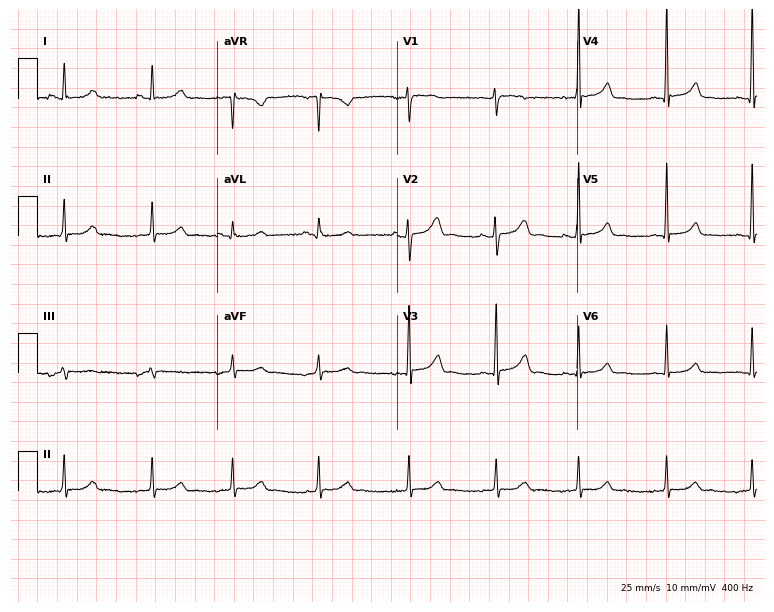
12-lead ECG from a woman, 21 years old (7.3-second recording at 400 Hz). Recorded interpretation: within normal limits.